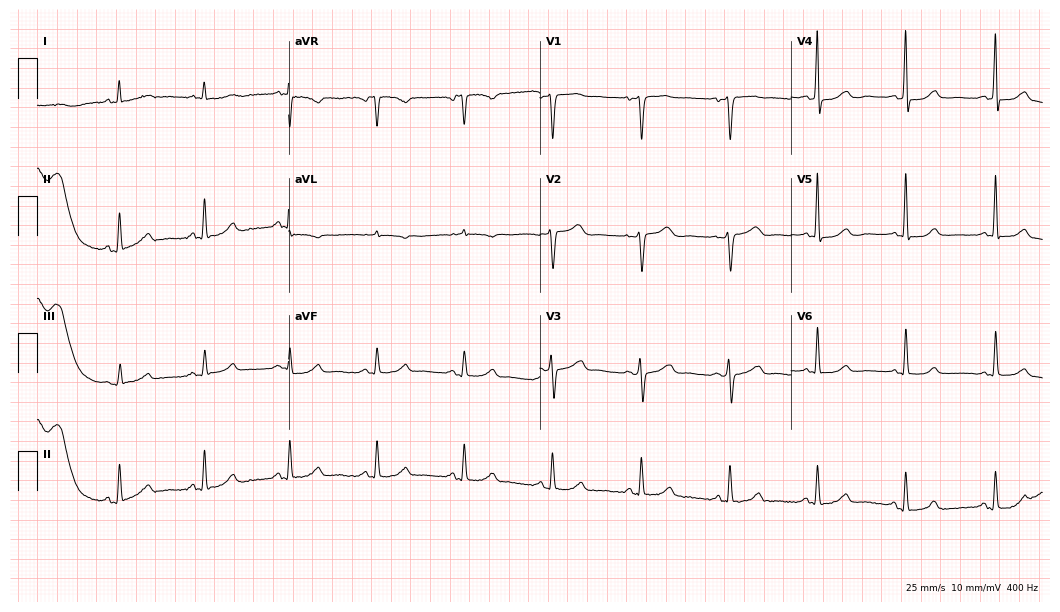
12-lead ECG from a 56-year-old woman. Recorded interpretation: within normal limits.